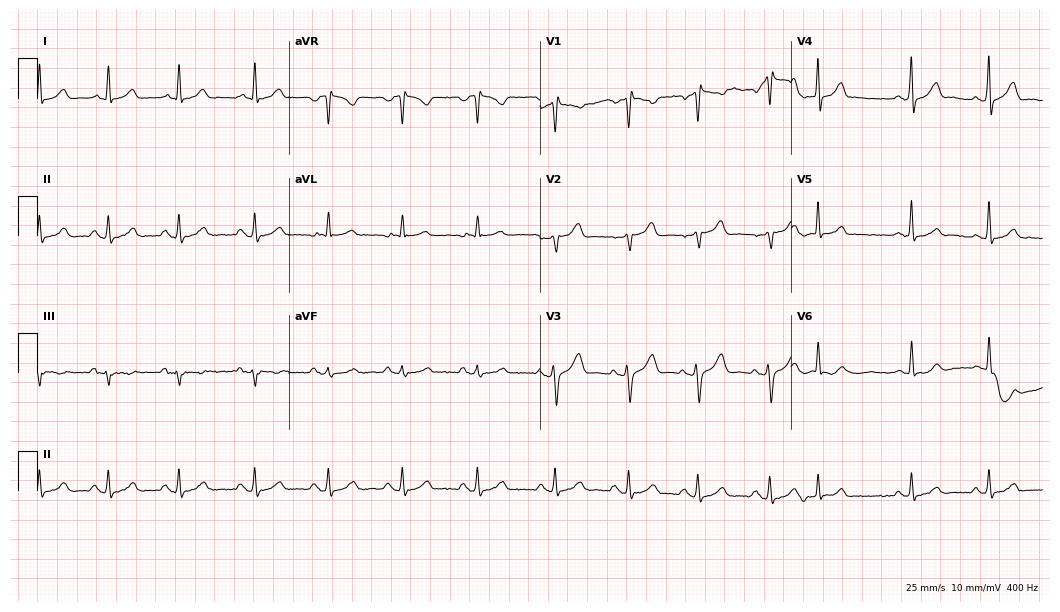
12-lead ECG from a 29-year-old male patient. No first-degree AV block, right bundle branch block, left bundle branch block, sinus bradycardia, atrial fibrillation or sinus tachycardia recorded for this tracing.